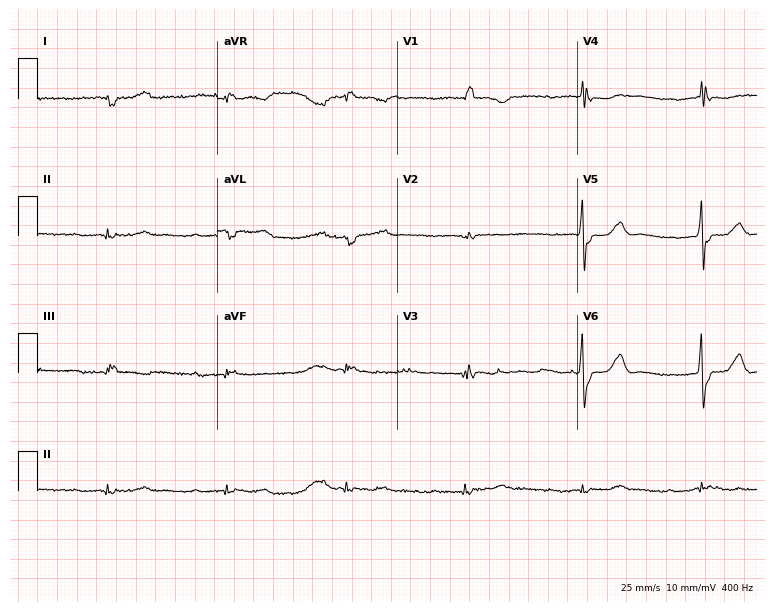
12-lead ECG from an 82-year-old woman (7.3-second recording at 400 Hz). No first-degree AV block, right bundle branch block (RBBB), left bundle branch block (LBBB), sinus bradycardia, atrial fibrillation (AF) or sinus tachycardia recorded for this tracing.